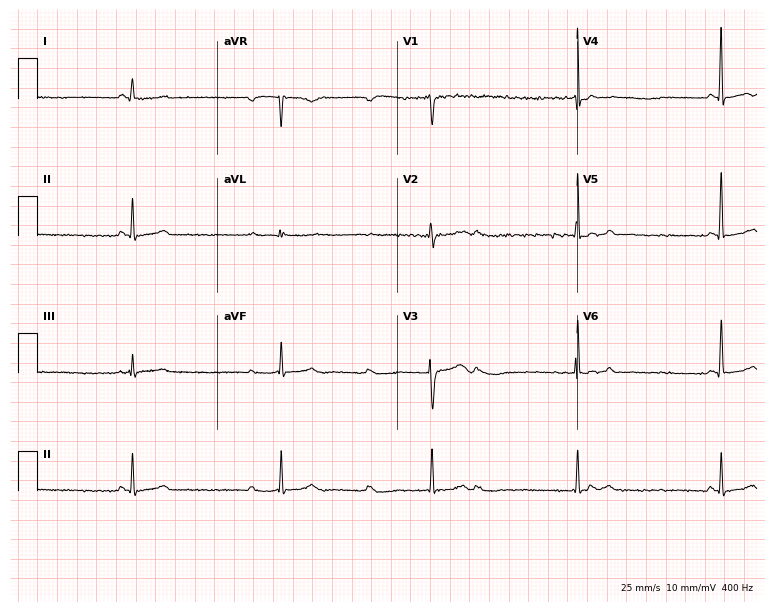
Standard 12-lead ECG recorded from a 26-year-old female patient (7.3-second recording at 400 Hz). The tracing shows first-degree AV block.